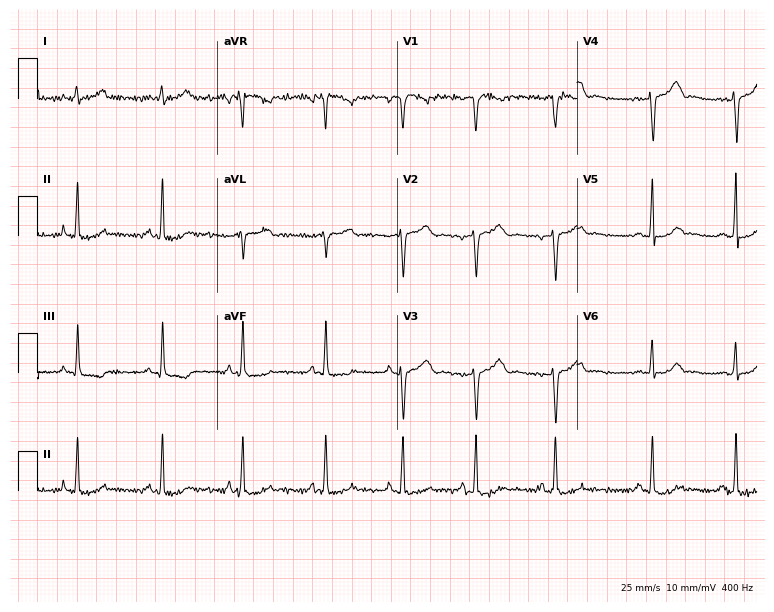
Electrocardiogram (7.3-second recording at 400 Hz), a female, 20 years old. Overall reading on record: normal ECG.